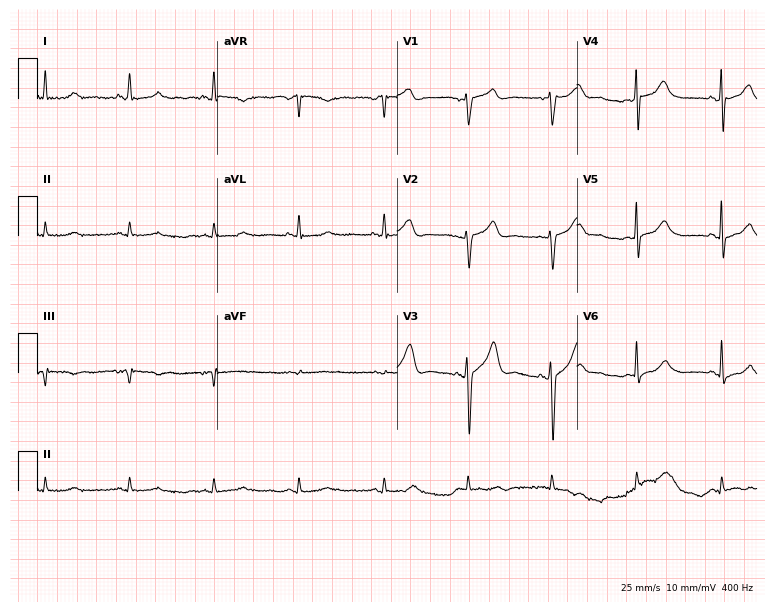
12-lead ECG (7.3-second recording at 400 Hz) from a male patient, 81 years old. Screened for six findings — first-degree AV block, right bundle branch block, left bundle branch block, sinus bradycardia, atrial fibrillation, sinus tachycardia — none is recorded.